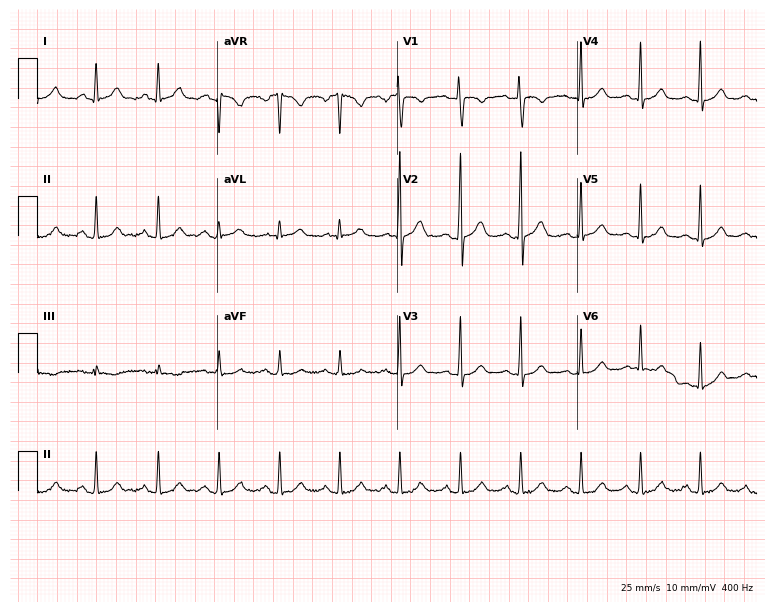
12-lead ECG from a female, 21 years old. No first-degree AV block, right bundle branch block, left bundle branch block, sinus bradycardia, atrial fibrillation or sinus tachycardia recorded for this tracing. Only these six findings were labelled.